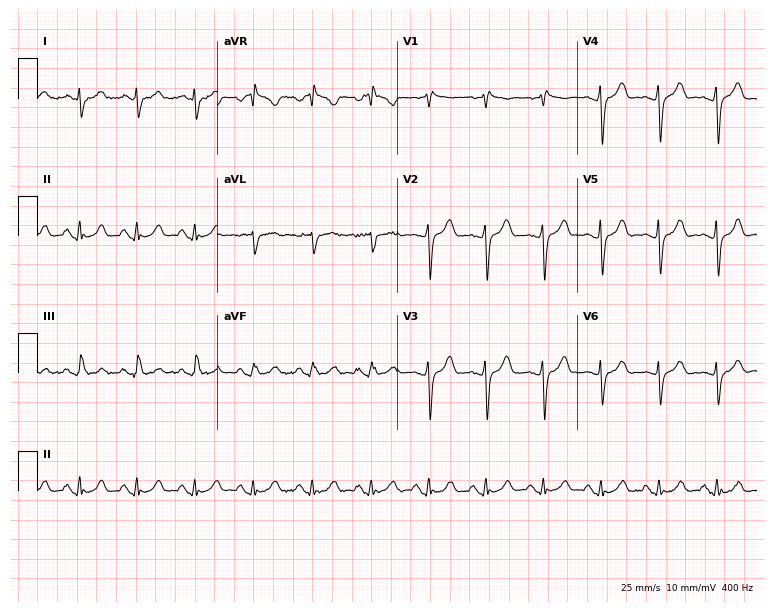
Standard 12-lead ECG recorded from a 75-year-old male patient. None of these six findings is recorded: first-degree AV block, right bundle branch block (RBBB), left bundle branch block (LBBB), sinus bradycardia, atrial fibrillation (AF), sinus tachycardia. Only these six findings were labelled.